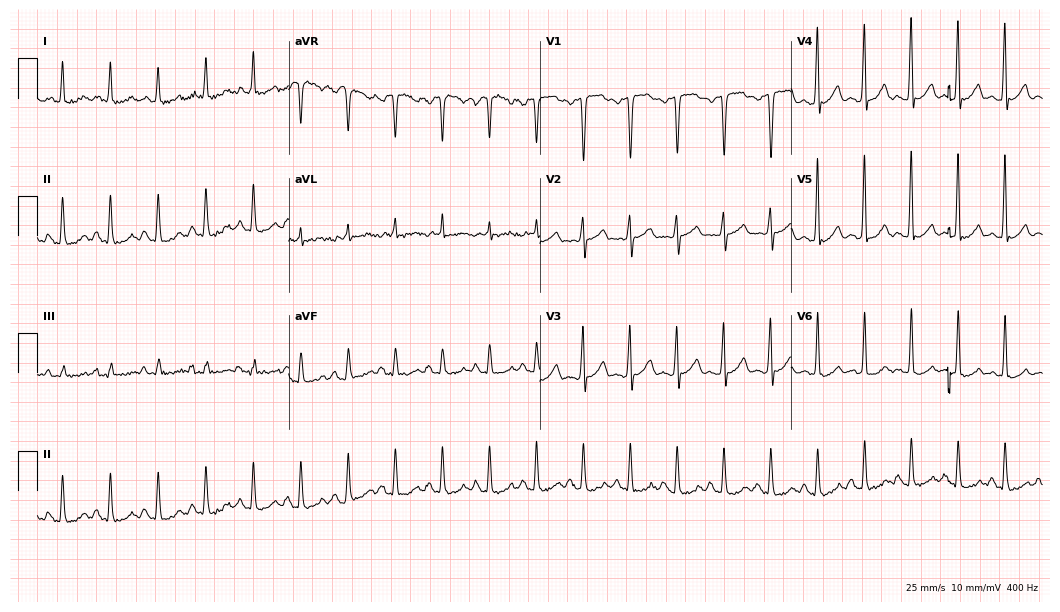
Electrocardiogram, a male patient, 49 years old. Of the six screened findings (first-degree AV block, right bundle branch block, left bundle branch block, sinus bradycardia, atrial fibrillation, sinus tachycardia), none is recorded. Only these six findings were labelled.